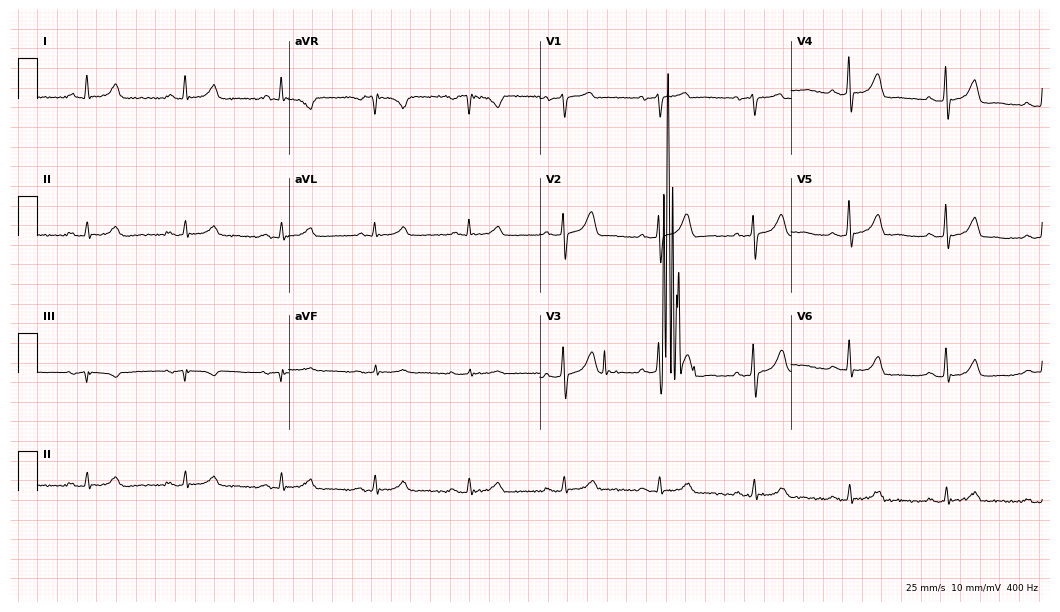
ECG (10.2-second recording at 400 Hz) — a 59-year-old male patient. Labelled as a normal ECG.